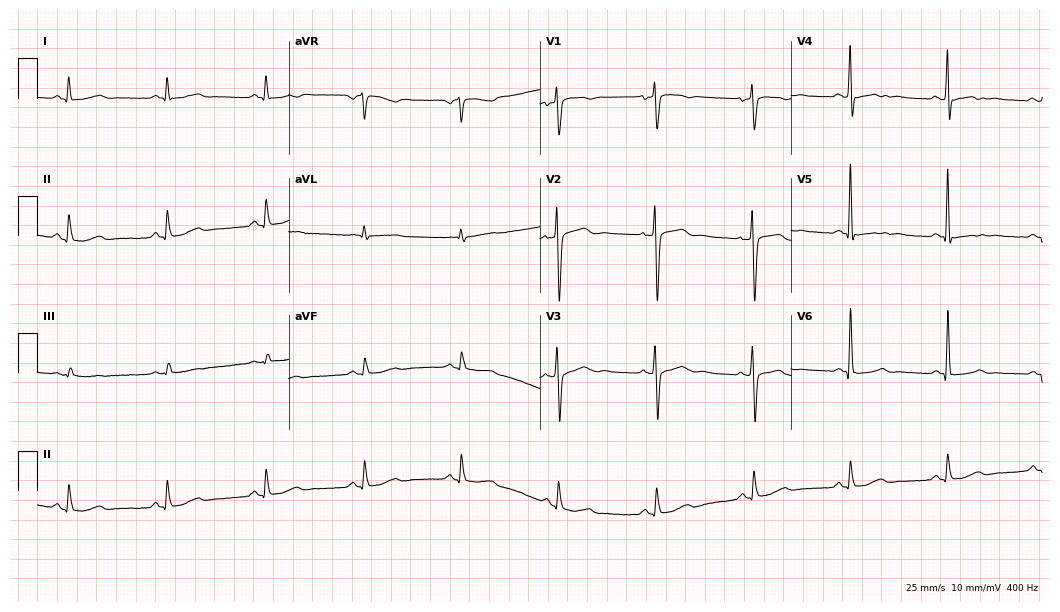
Electrocardiogram (10.2-second recording at 400 Hz), a 55-year-old male patient. Of the six screened findings (first-degree AV block, right bundle branch block (RBBB), left bundle branch block (LBBB), sinus bradycardia, atrial fibrillation (AF), sinus tachycardia), none is recorded. Findings outside these six are not listed.